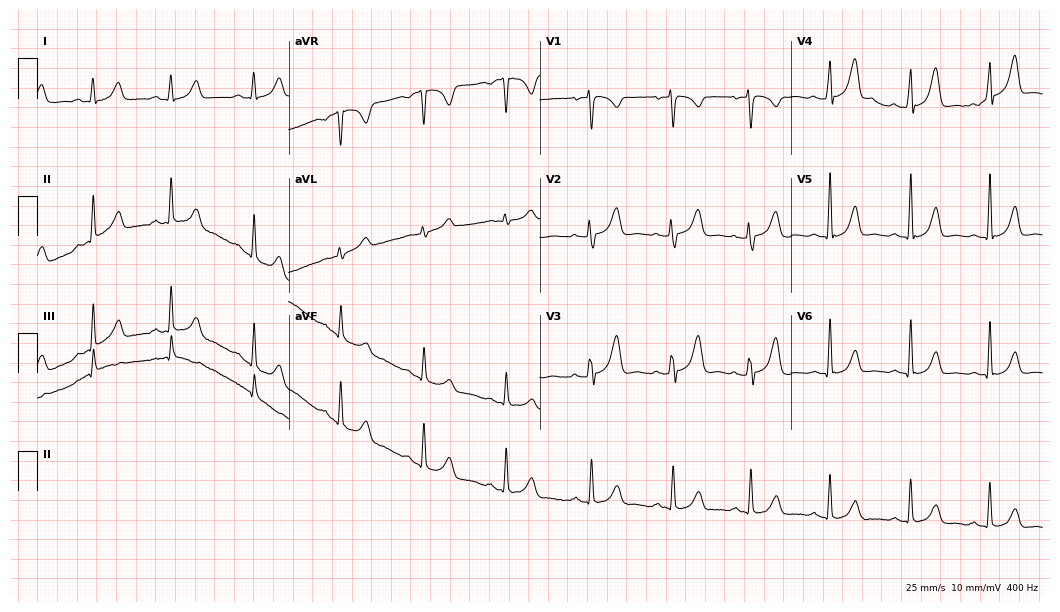
Resting 12-lead electrocardiogram (10.2-second recording at 400 Hz). Patient: a 32-year-old female. Read as a normal ECG.